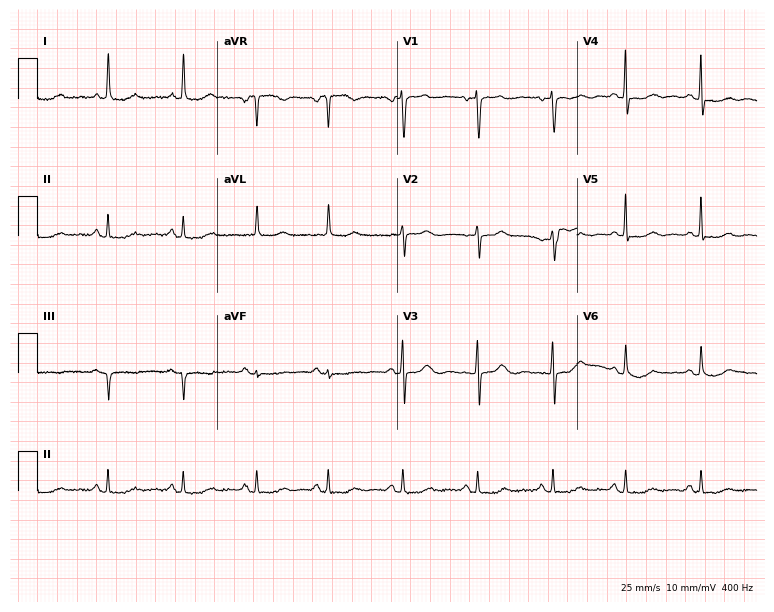
Electrocardiogram, a 76-year-old female patient. Of the six screened findings (first-degree AV block, right bundle branch block, left bundle branch block, sinus bradycardia, atrial fibrillation, sinus tachycardia), none is recorded. Findings outside these six are not listed.